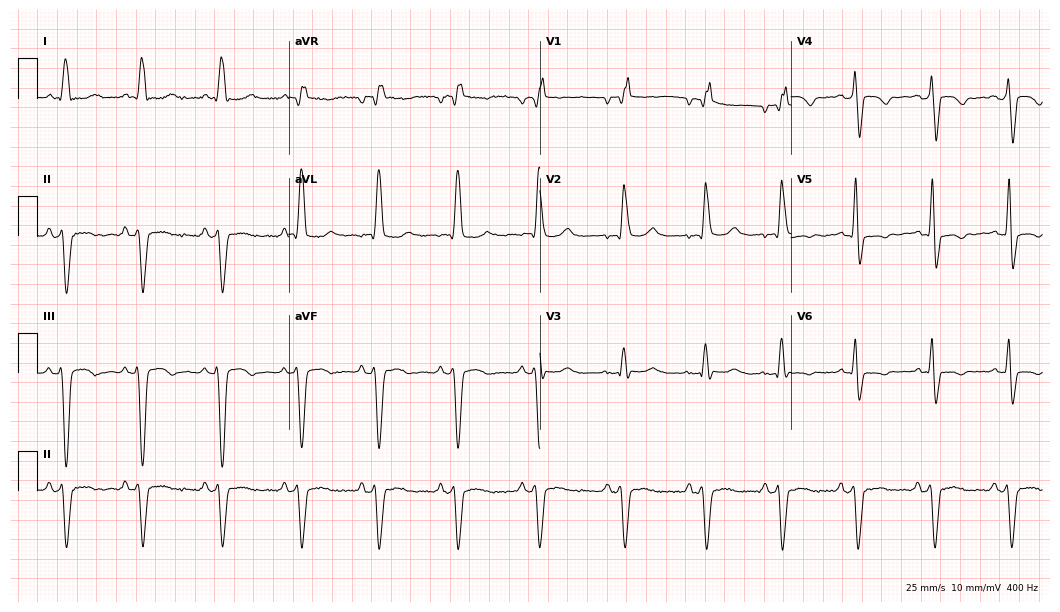
12-lead ECG (10.2-second recording at 400 Hz) from a woman, 65 years old. Screened for six findings — first-degree AV block, right bundle branch block (RBBB), left bundle branch block (LBBB), sinus bradycardia, atrial fibrillation (AF), sinus tachycardia — none is recorded. Findings outside these six are not listed.